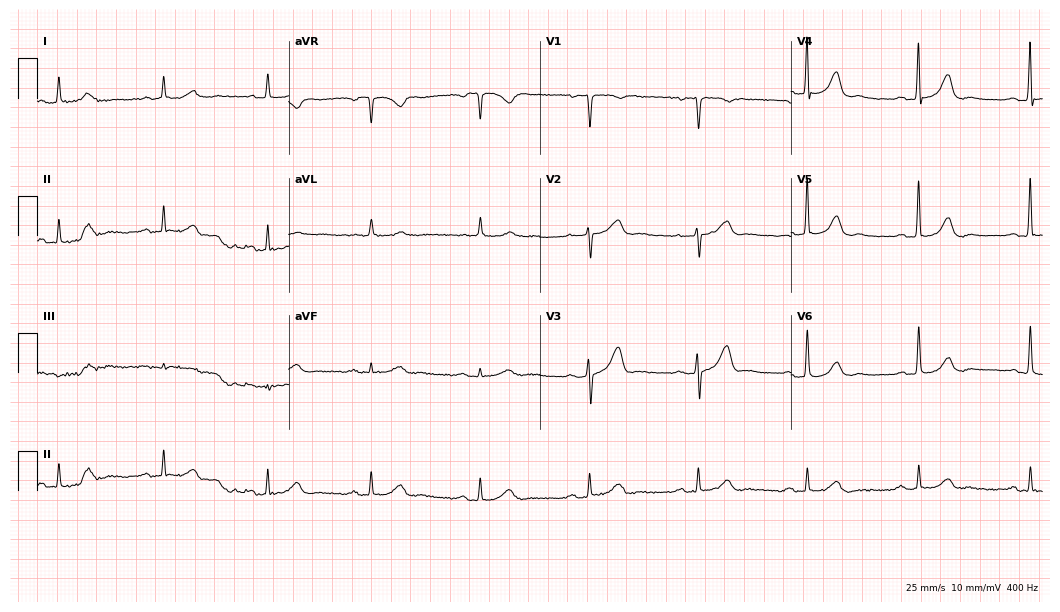
12-lead ECG from a 72-year-old man. No first-degree AV block, right bundle branch block (RBBB), left bundle branch block (LBBB), sinus bradycardia, atrial fibrillation (AF) or sinus tachycardia recorded for this tracing. Findings outside these six are not listed.